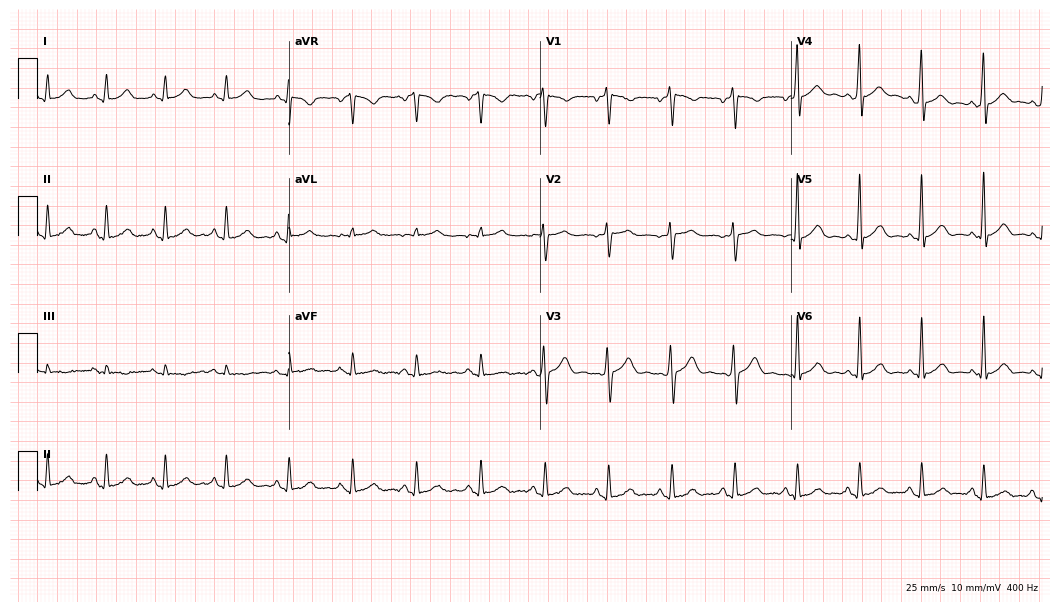
Standard 12-lead ECG recorded from a 47-year-old male (10.2-second recording at 400 Hz). Read as a normal ECG.